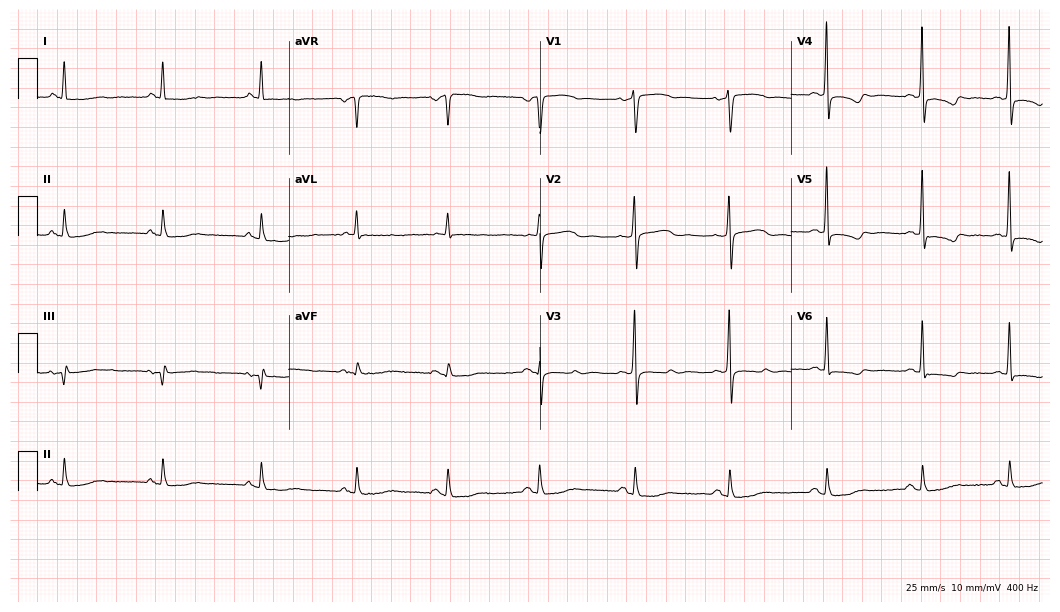
Resting 12-lead electrocardiogram (10.2-second recording at 400 Hz). Patient: a female, 69 years old. None of these six findings is recorded: first-degree AV block, right bundle branch block, left bundle branch block, sinus bradycardia, atrial fibrillation, sinus tachycardia. Other findings, if any, are not listed.